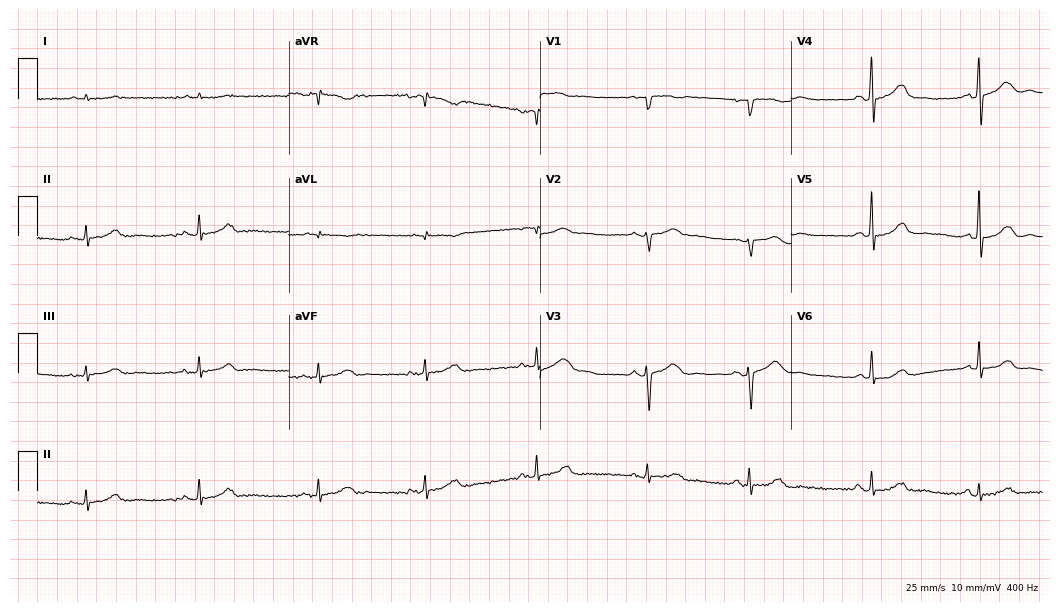
ECG — a woman, 61 years old. Labelled as a normal ECG.